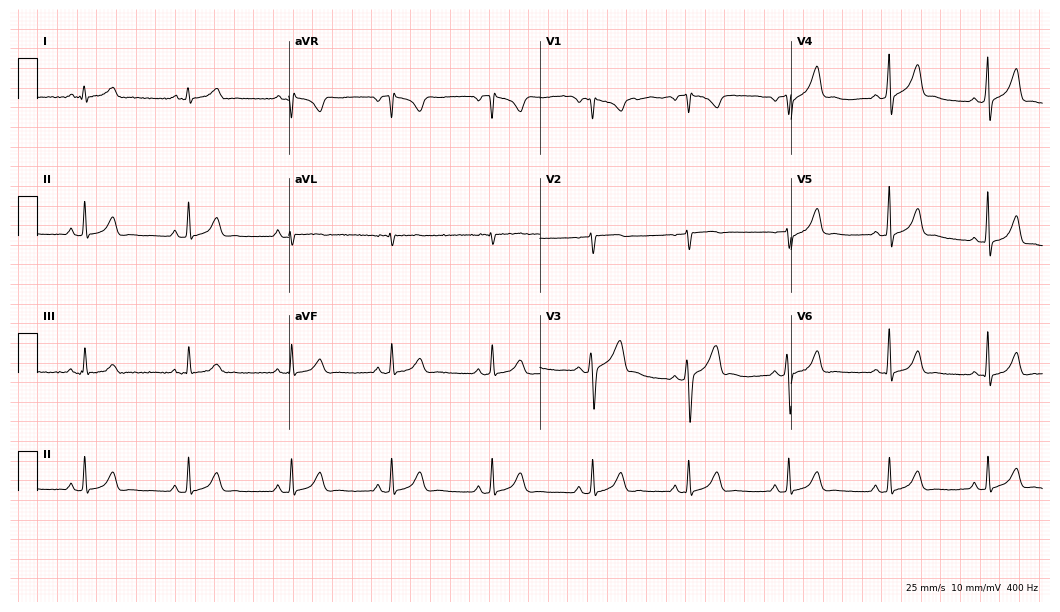
12-lead ECG from a male, 49 years old. Recorded interpretation: within normal limits.